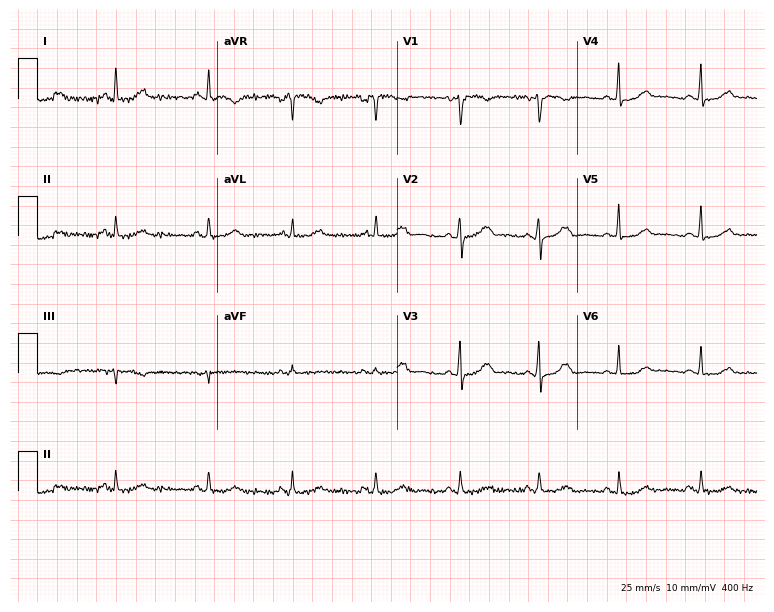
Standard 12-lead ECG recorded from a 44-year-old female patient (7.3-second recording at 400 Hz). Read as a normal ECG.